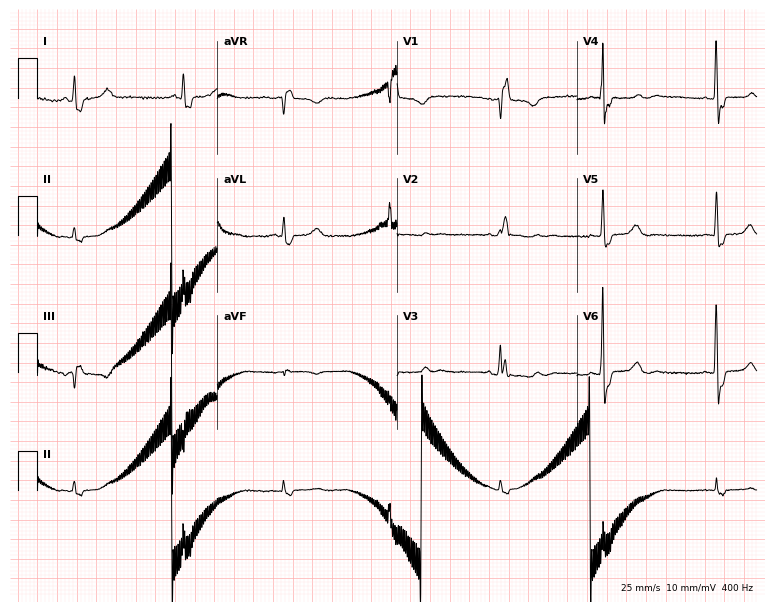
12-lead ECG from a female patient, 54 years old (7.3-second recording at 400 Hz). Shows right bundle branch block.